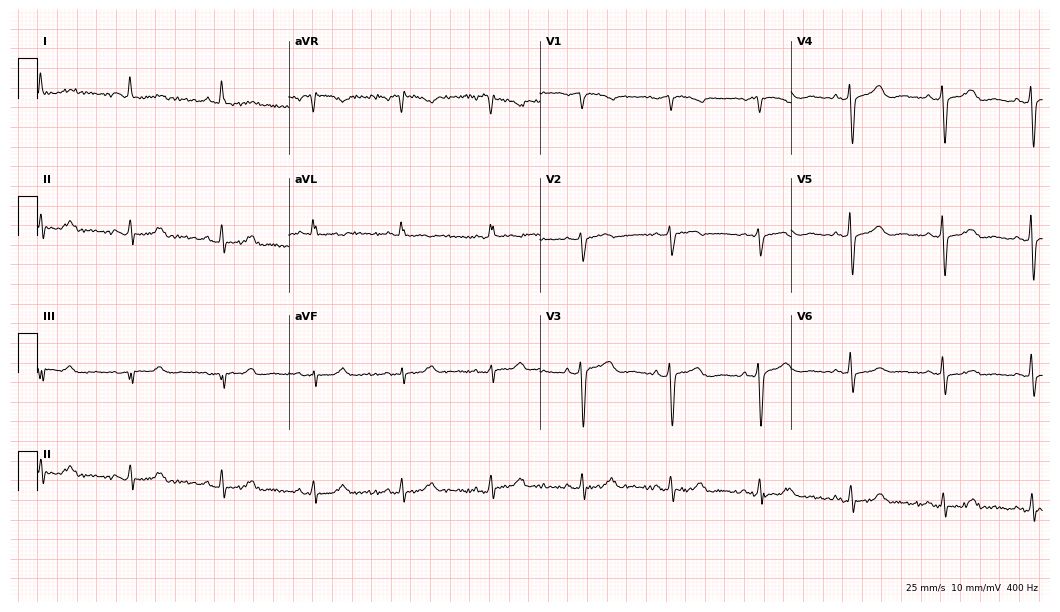
Resting 12-lead electrocardiogram. Patient: a 70-year-old female. None of these six findings is recorded: first-degree AV block, right bundle branch block, left bundle branch block, sinus bradycardia, atrial fibrillation, sinus tachycardia. Findings outside these six are not listed.